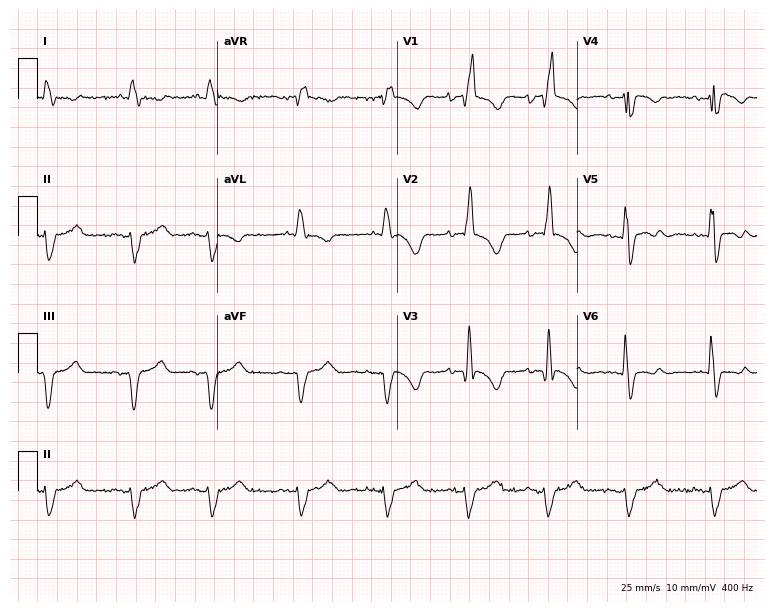
Electrocardiogram, a man, 72 years old. Interpretation includes right bundle branch block.